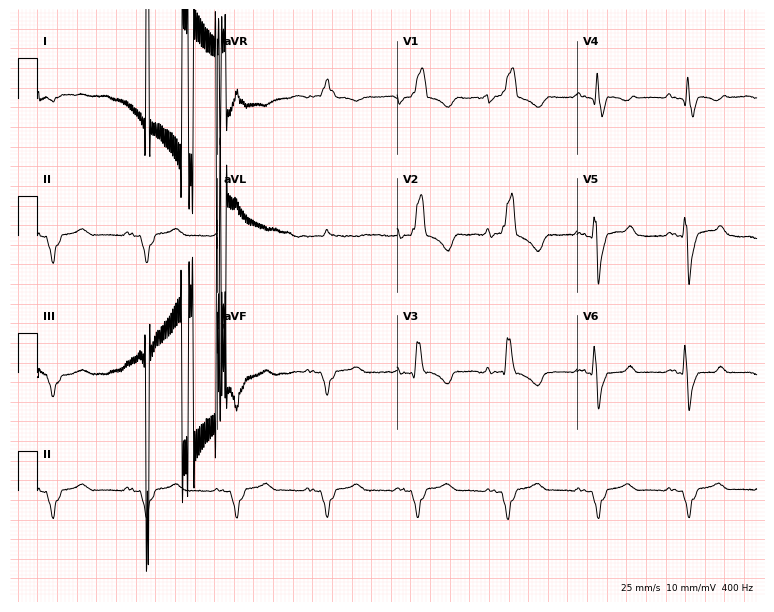
Resting 12-lead electrocardiogram. Patient: a male, 40 years old. The tracing shows right bundle branch block.